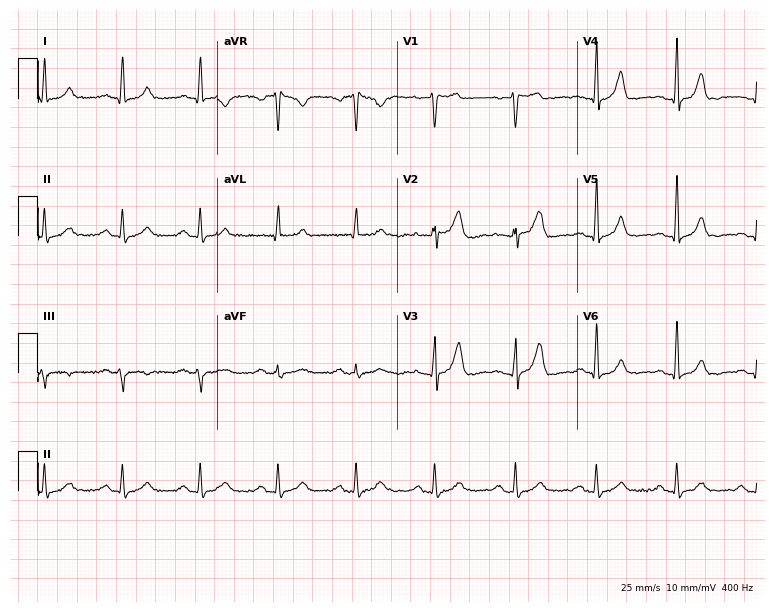
ECG — a 58-year-old male. Labelled as a normal ECG.